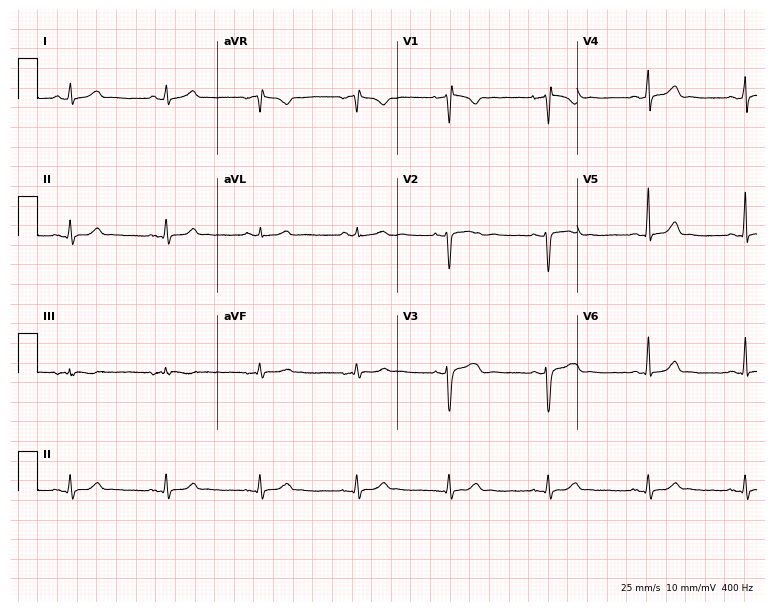
ECG (7.3-second recording at 400 Hz) — a 32-year-old female. Labelled as a normal ECG.